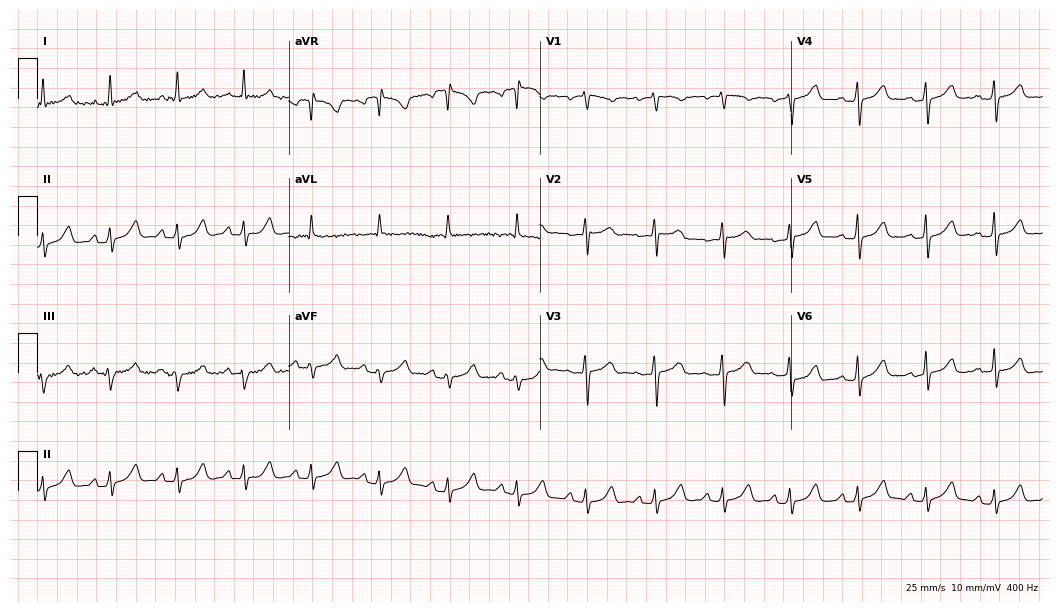
Resting 12-lead electrocardiogram (10.2-second recording at 400 Hz). Patient: a woman, 60 years old. Read as a normal ECG.